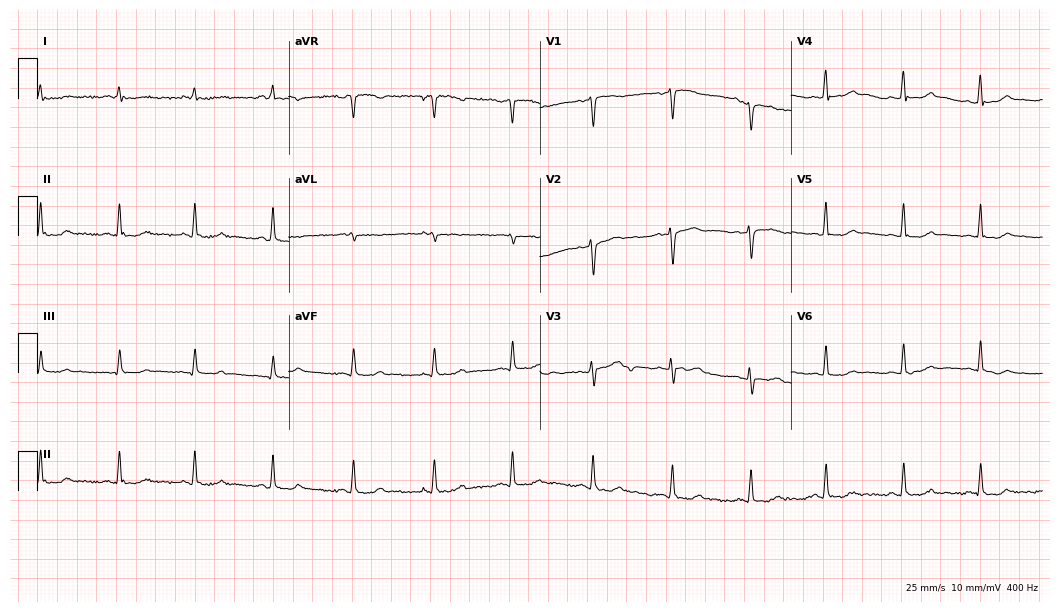
ECG — a 33-year-old woman. Screened for six findings — first-degree AV block, right bundle branch block, left bundle branch block, sinus bradycardia, atrial fibrillation, sinus tachycardia — none is recorded.